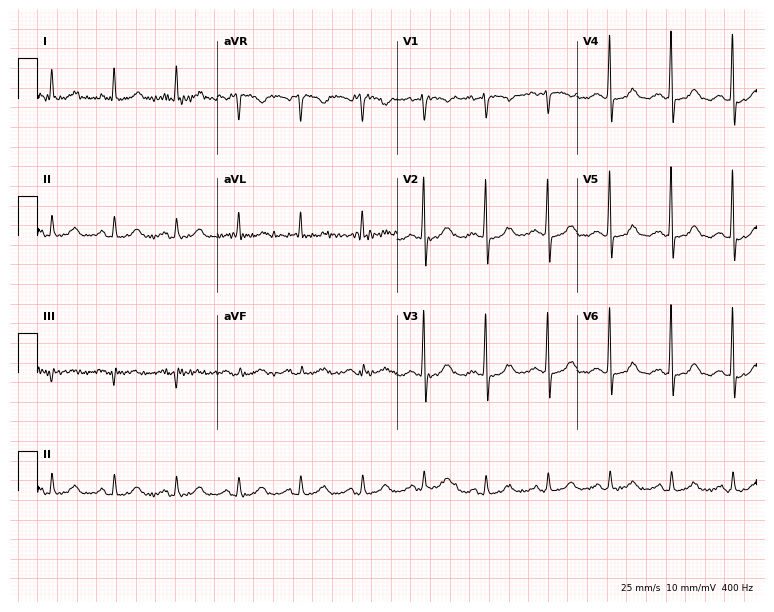
12-lead ECG from a female patient, 77 years old. No first-degree AV block, right bundle branch block, left bundle branch block, sinus bradycardia, atrial fibrillation or sinus tachycardia recorded for this tracing. Only these six findings were labelled.